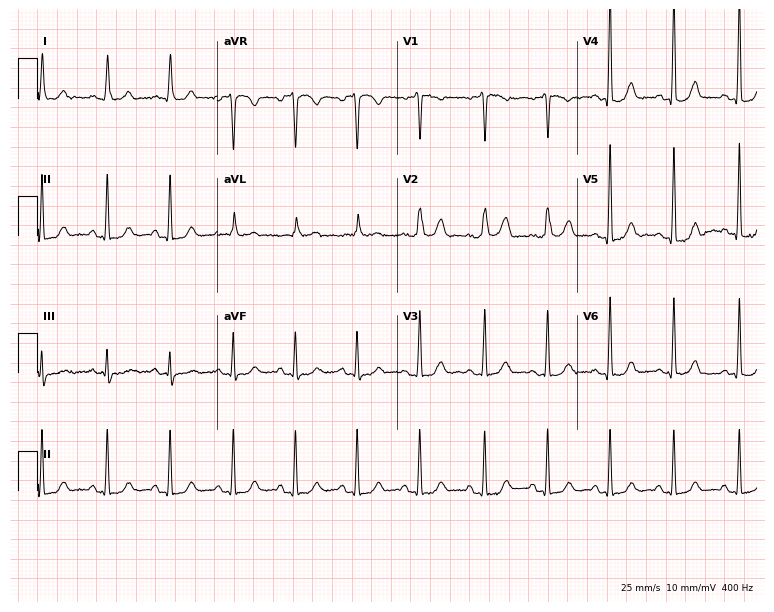
Resting 12-lead electrocardiogram (7.3-second recording at 400 Hz). Patient: a 43-year-old female. Read as a normal ECG.